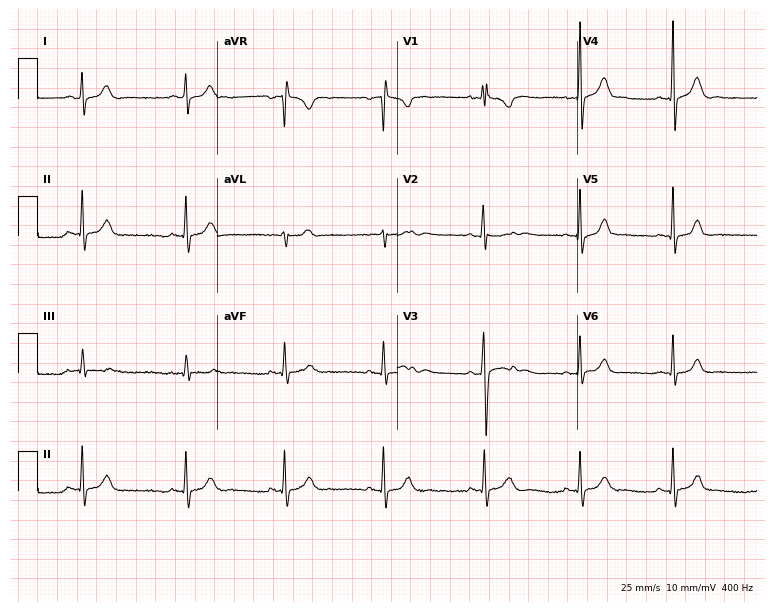
ECG — a man, 20 years old. Screened for six findings — first-degree AV block, right bundle branch block, left bundle branch block, sinus bradycardia, atrial fibrillation, sinus tachycardia — none is recorded. Findings outside these six are not listed.